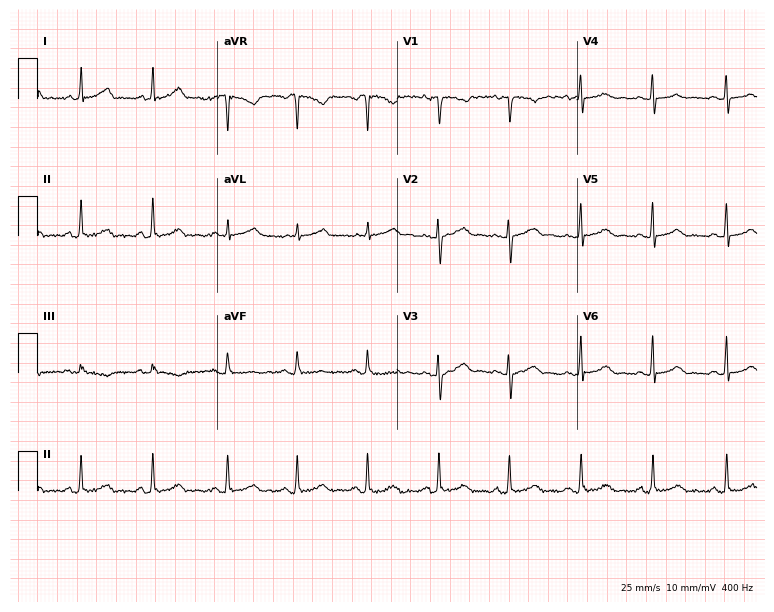
Resting 12-lead electrocardiogram. Patient: a female, 35 years old. Read as a normal ECG.